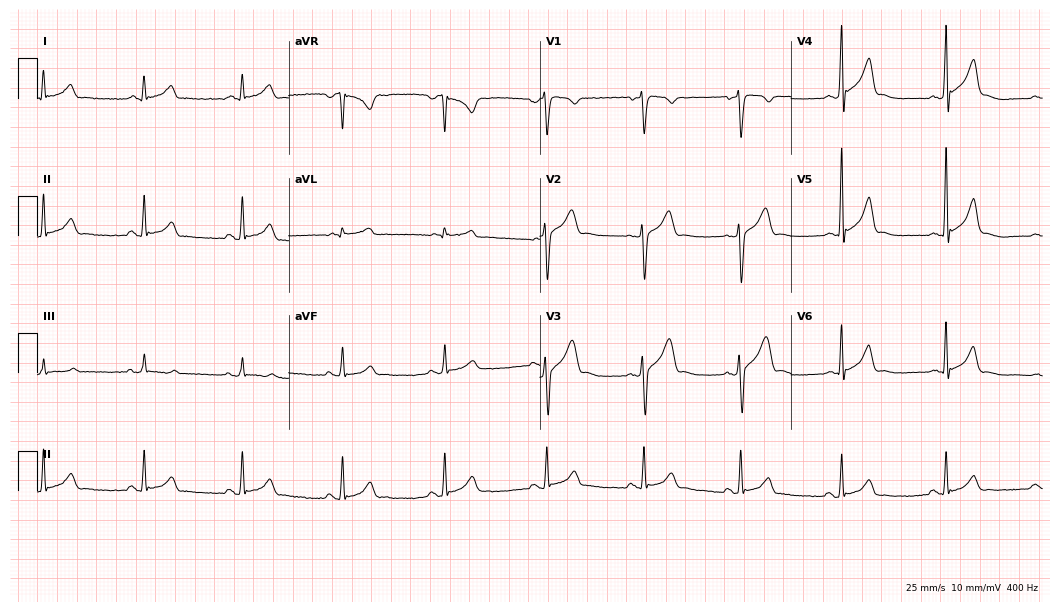
12-lead ECG from a 44-year-old man (10.2-second recording at 400 Hz). No first-degree AV block, right bundle branch block (RBBB), left bundle branch block (LBBB), sinus bradycardia, atrial fibrillation (AF) or sinus tachycardia recorded for this tracing.